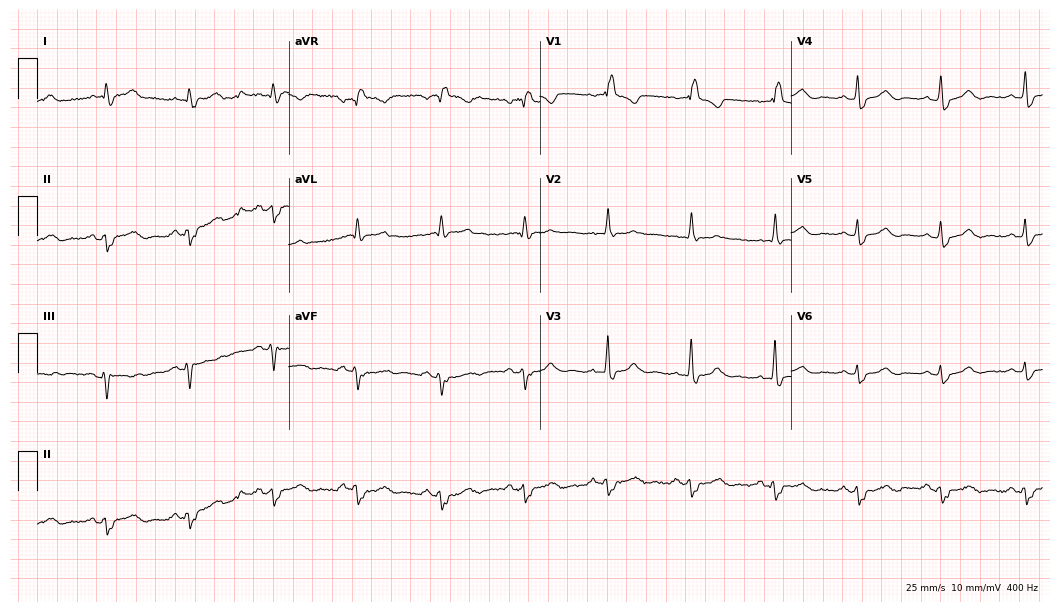
Standard 12-lead ECG recorded from a female patient, 64 years old. The tracing shows right bundle branch block (RBBB).